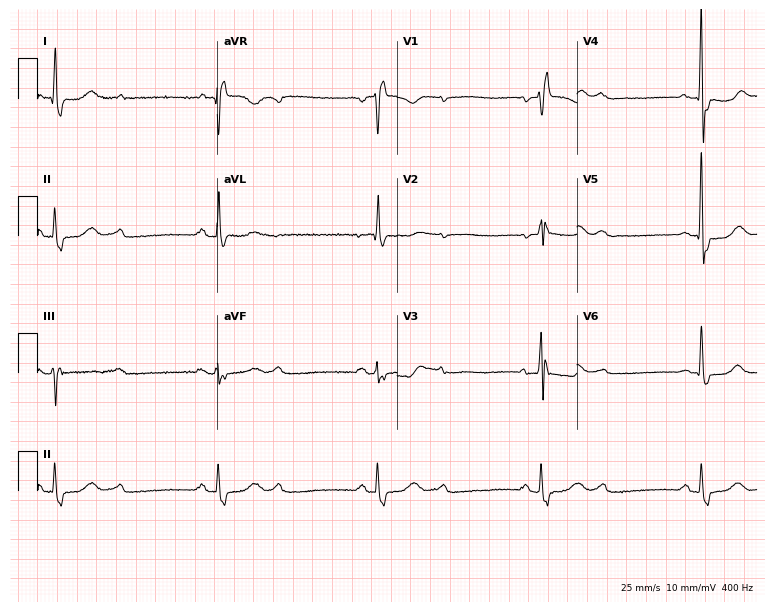
12-lead ECG from a 76-year-old female patient. No first-degree AV block, right bundle branch block, left bundle branch block, sinus bradycardia, atrial fibrillation or sinus tachycardia recorded for this tracing.